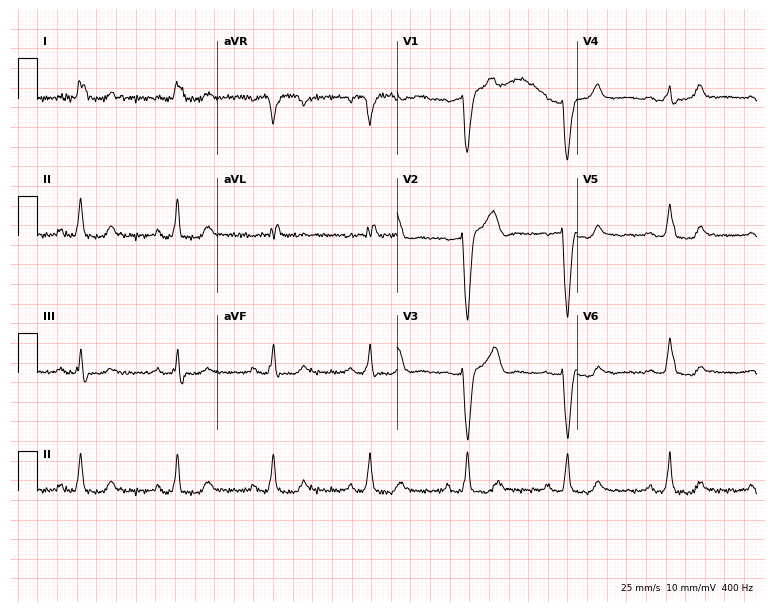
12-lead ECG from a 53-year-old woman. Shows left bundle branch block (LBBB).